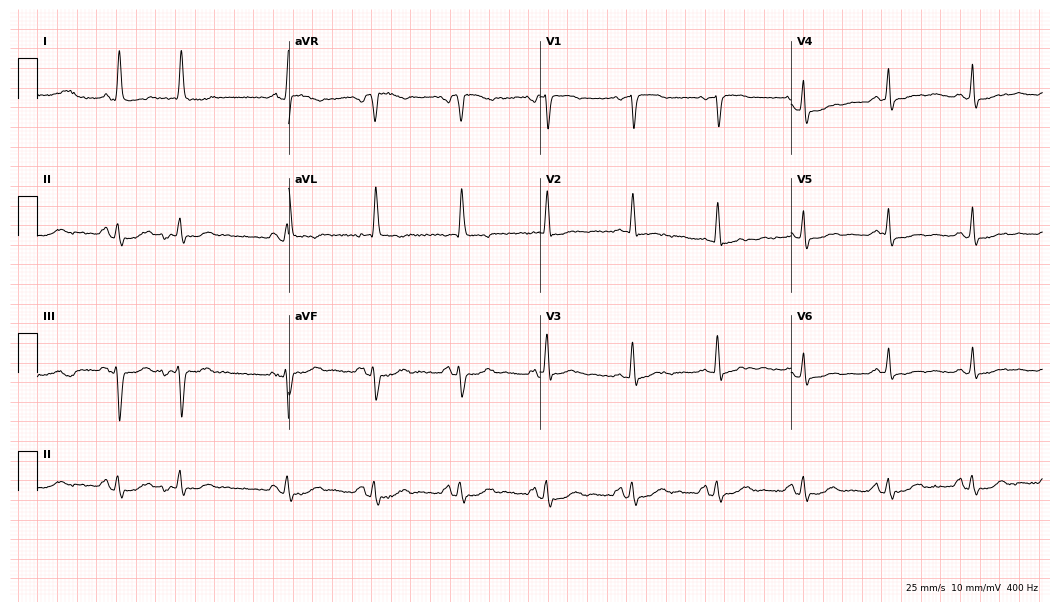
Resting 12-lead electrocardiogram (10.2-second recording at 400 Hz). Patient: a woman, 76 years old. None of these six findings is recorded: first-degree AV block, right bundle branch block, left bundle branch block, sinus bradycardia, atrial fibrillation, sinus tachycardia.